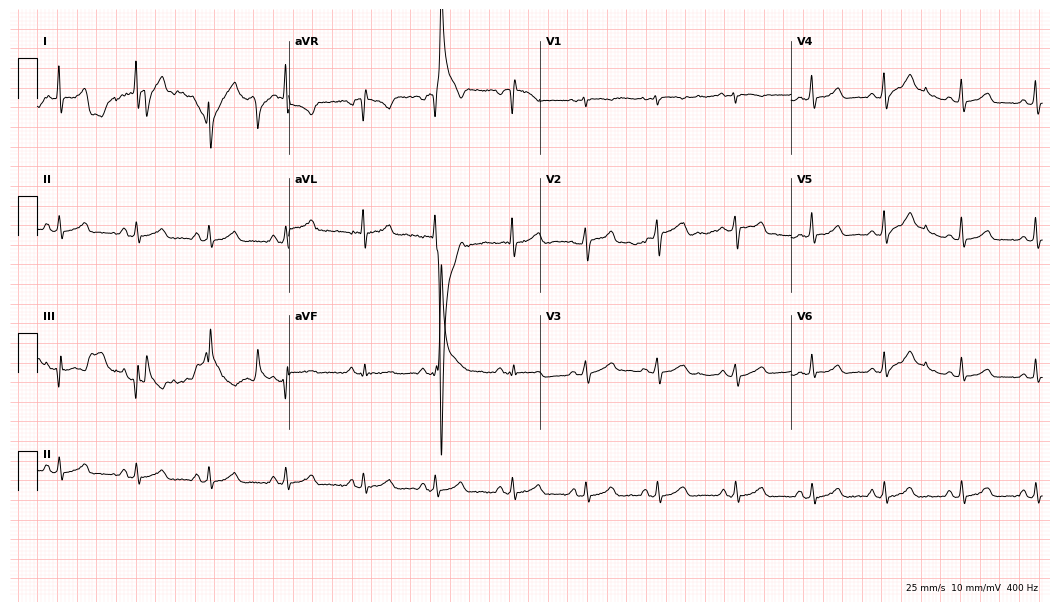
Resting 12-lead electrocardiogram (10.2-second recording at 400 Hz). Patient: a female, 37 years old. Read as a normal ECG.